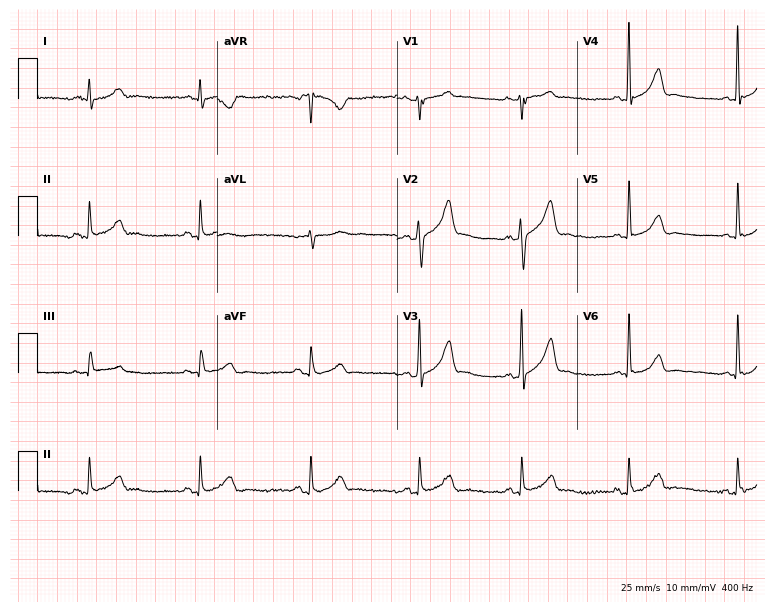
12-lead ECG from a male patient, 55 years old. Recorded interpretation: within normal limits.